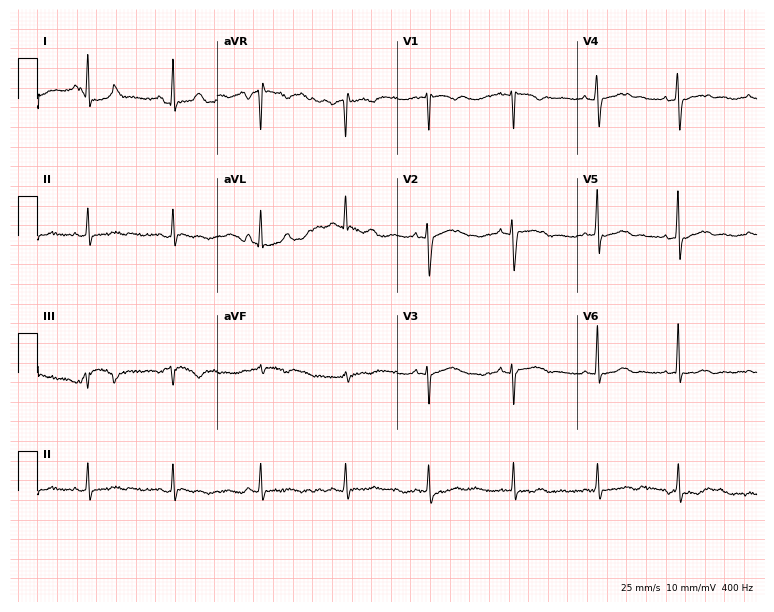
12-lead ECG from a 34-year-old female. No first-degree AV block, right bundle branch block (RBBB), left bundle branch block (LBBB), sinus bradycardia, atrial fibrillation (AF) or sinus tachycardia recorded for this tracing. Findings outside these six are not listed.